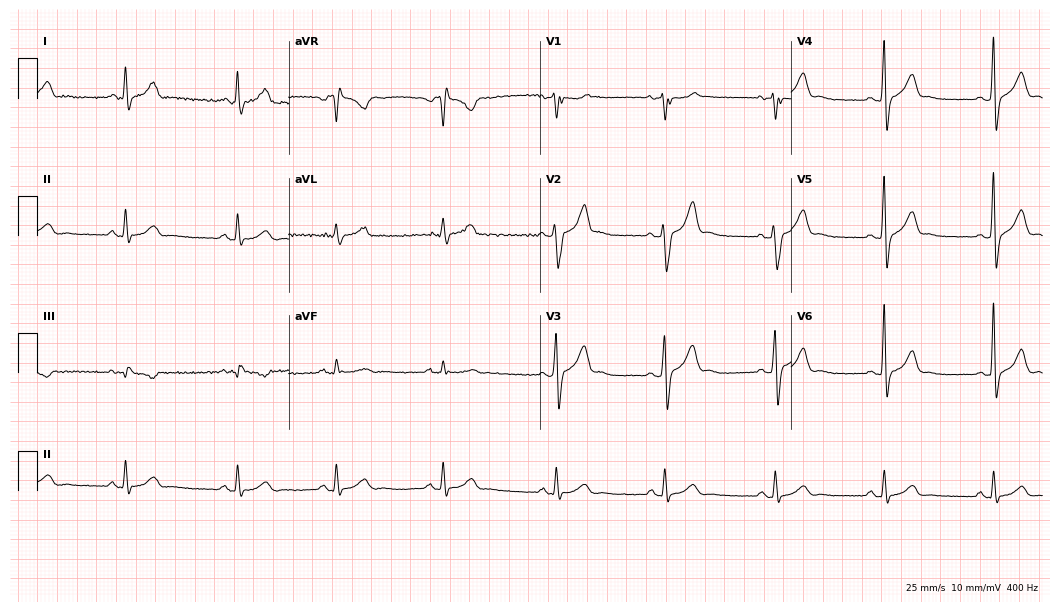
Electrocardiogram, a man, 34 years old. Of the six screened findings (first-degree AV block, right bundle branch block, left bundle branch block, sinus bradycardia, atrial fibrillation, sinus tachycardia), none is recorded.